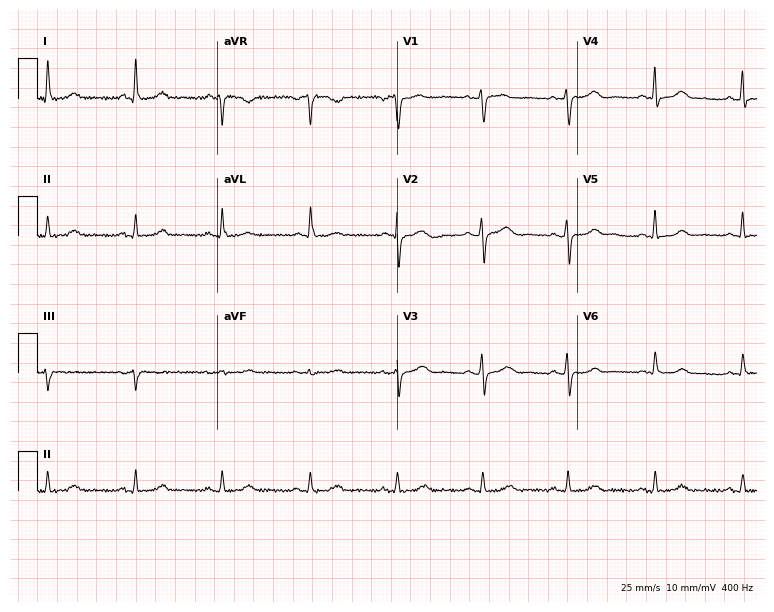
Electrocardiogram (7.3-second recording at 400 Hz), a 57-year-old woman. Overall reading on record: normal ECG.